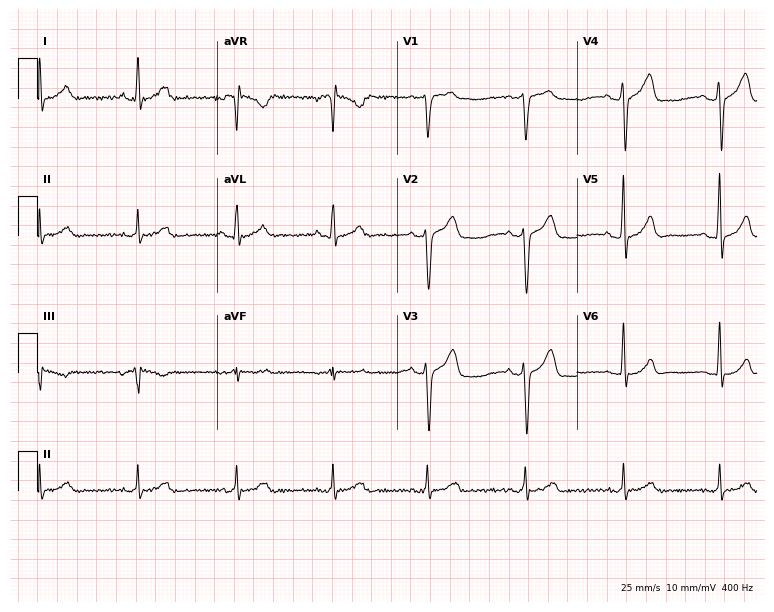
12-lead ECG from a male patient, 44 years old (7.3-second recording at 400 Hz). Recorded interpretation: within normal limits.